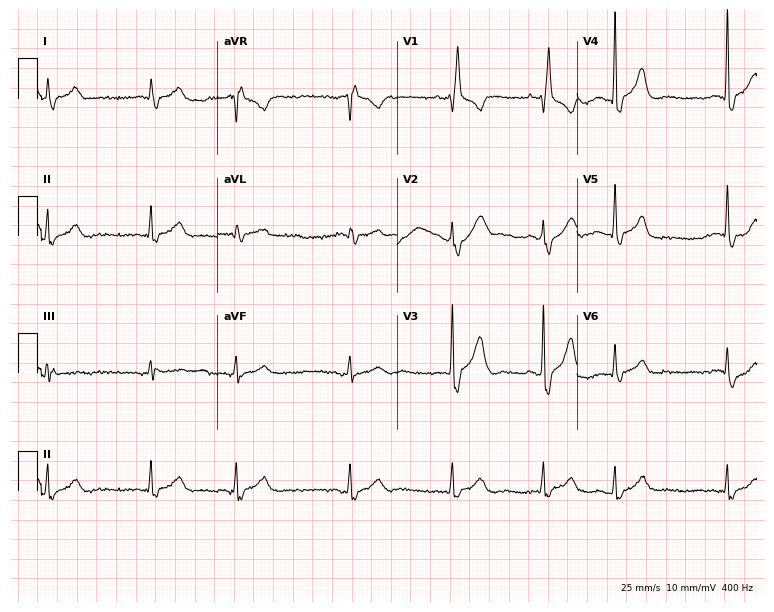
12-lead ECG from an 82-year-old man. No first-degree AV block, right bundle branch block, left bundle branch block, sinus bradycardia, atrial fibrillation or sinus tachycardia recorded for this tracing.